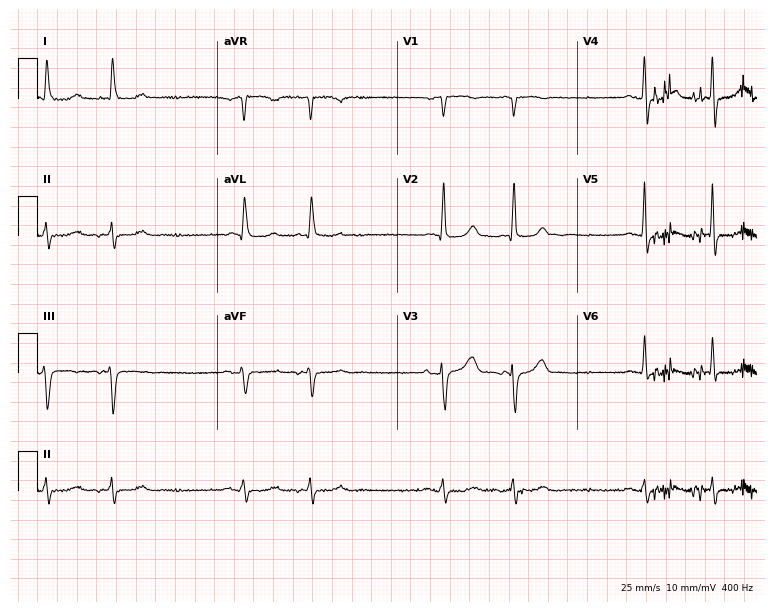
Resting 12-lead electrocardiogram (7.3-second recording at 400 Hz). Patient: a female, 83 years old. None of these six findings is recorded: first-degree AV block, right bundle branch block, left bundle branch block, sinus bradycardia, atrial fibrillation, sinus tachycardia. Other findings, if any, are not listed.